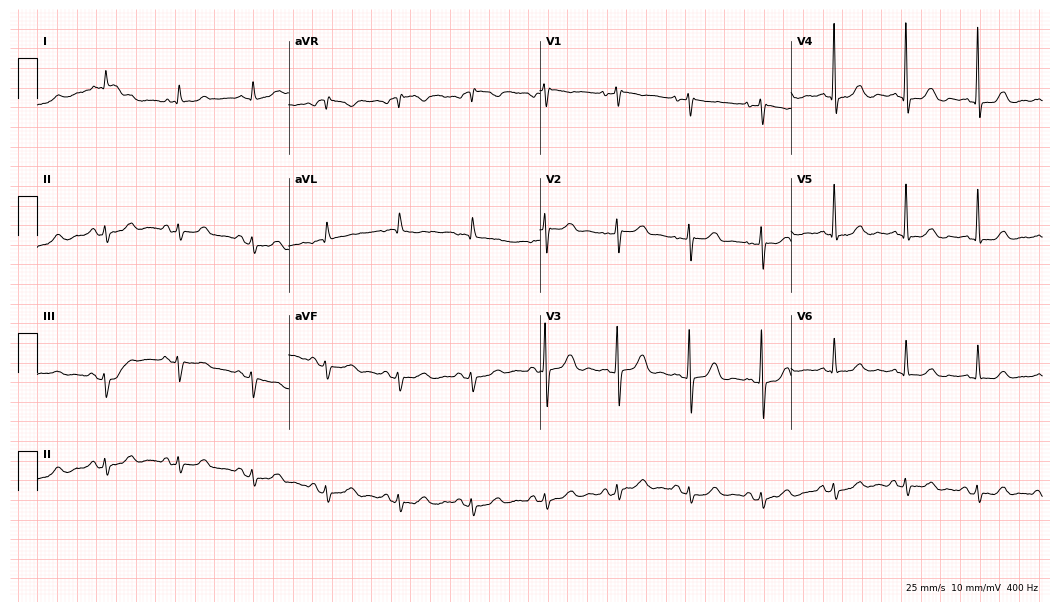
ECG (10.2-second recording at 400 Hz) — a woman, 82 years old. Screened for six findings — first-degree AV block, right bundle branch block (RBBB), left bundle branch block (LBBB), sinus bradycardia, atrial fibrillation (AF), sinus tachycardia — none is recorded. Other findings, if any, are not listed.